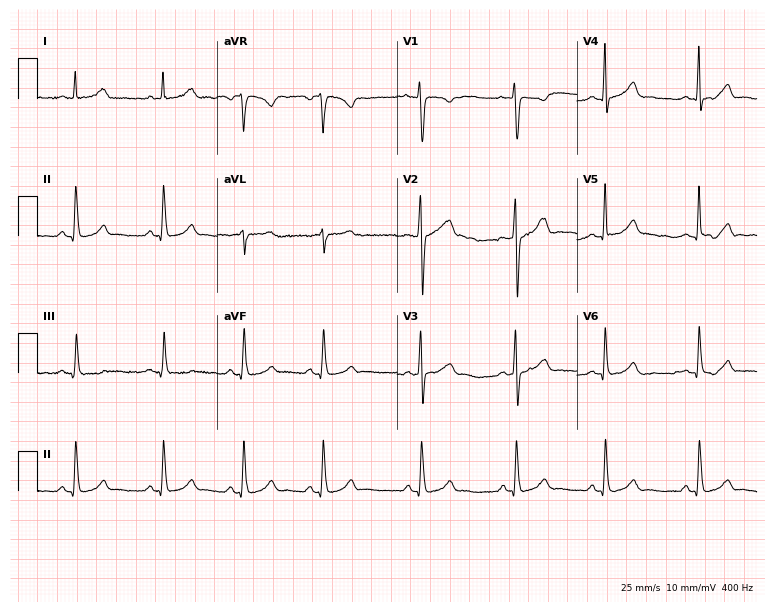
12-lead ECG from a female patient, 27 years old (7.3-second recording at 400 Hz). No first-degree AV block, right bundle branch block (RBBB), left bundle branch block (LBBB), sinus bradycardia, atrial fibrillation (AF) or sinus tachycardia recorded for this tracing. Only these six findings were labelled.